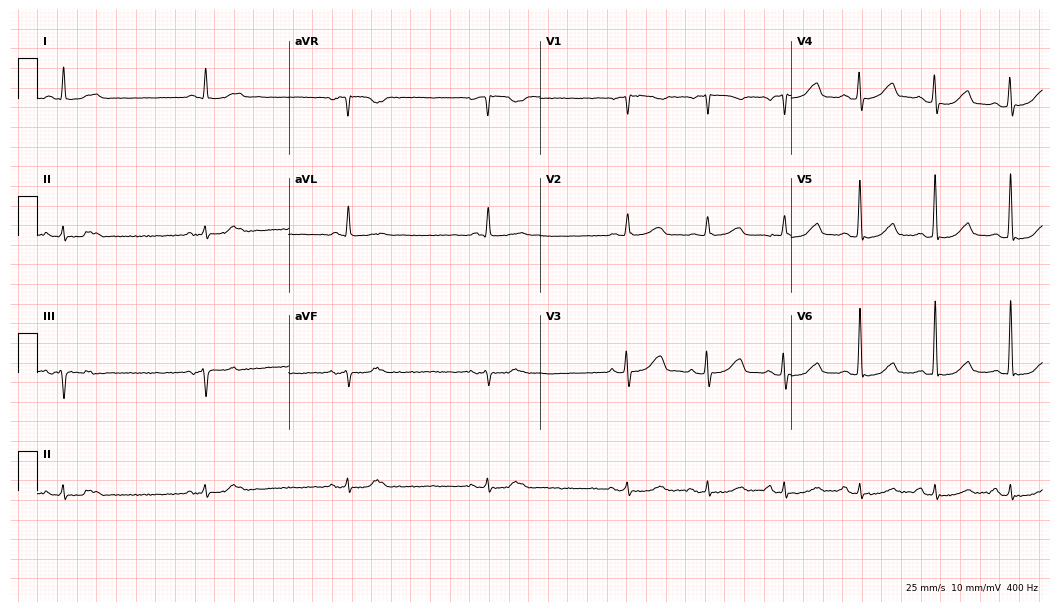
12-lead ECG from an 80-year-old female patient. Screened for six findings — first-degree AV block, right bundle branch block, left bundle branch block, sinus bradycardia, atrial fibrillation, sinus tachycardia — none is recorded.